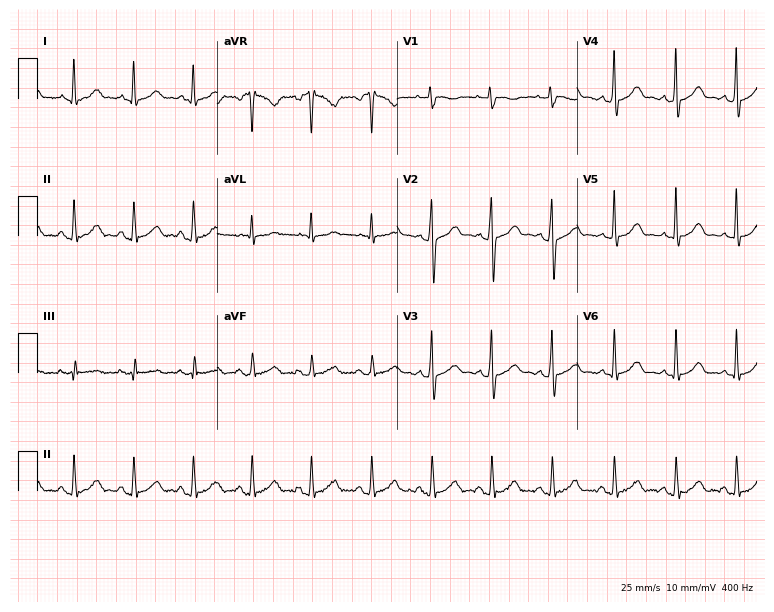
ECG — a 19-year-old woman. Screened for six findings — first-degree AV block, right bundle branch block, left bundle branch block, sinus bradycardia, atrial fibrillation, sinus tachycardia — none is recorded. Other findings, if any, are not listed.